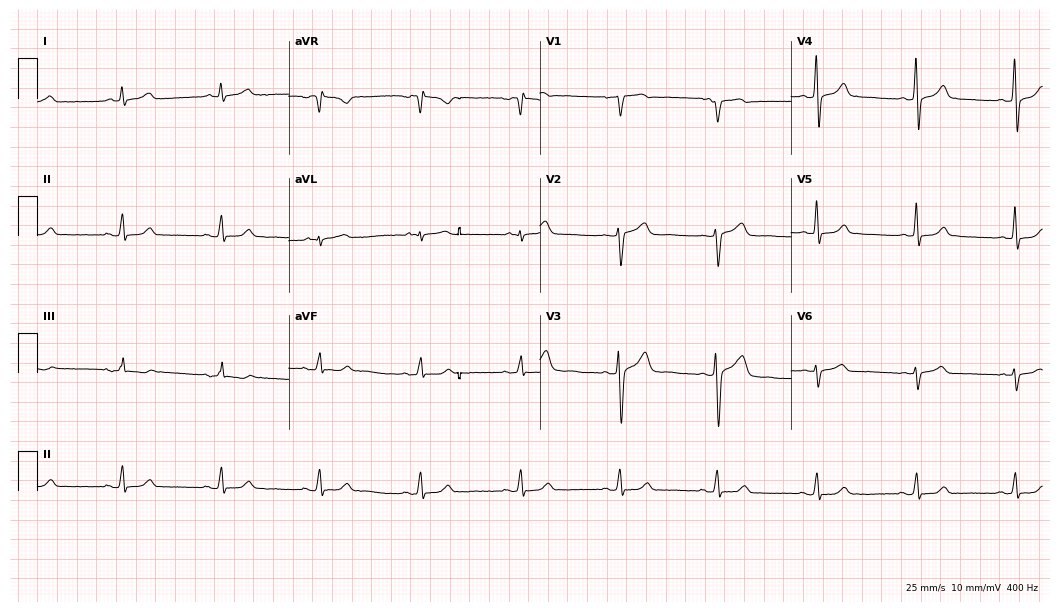
Electrocardiogram (10.2-second recording at 400 Hz), a 63-year-old male. Overall reading on record: normal ECG.